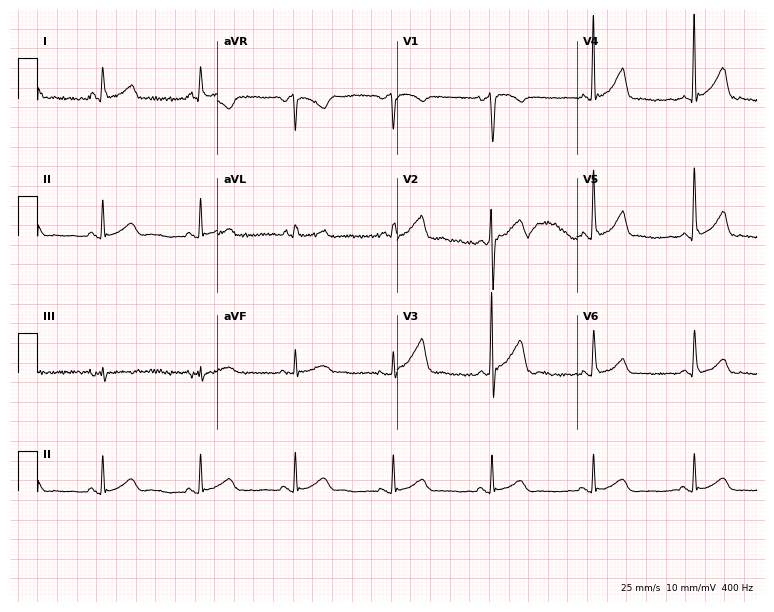
12-lead ECG from a male patient, 55 years old. Recorded interpretation: within normal limits.